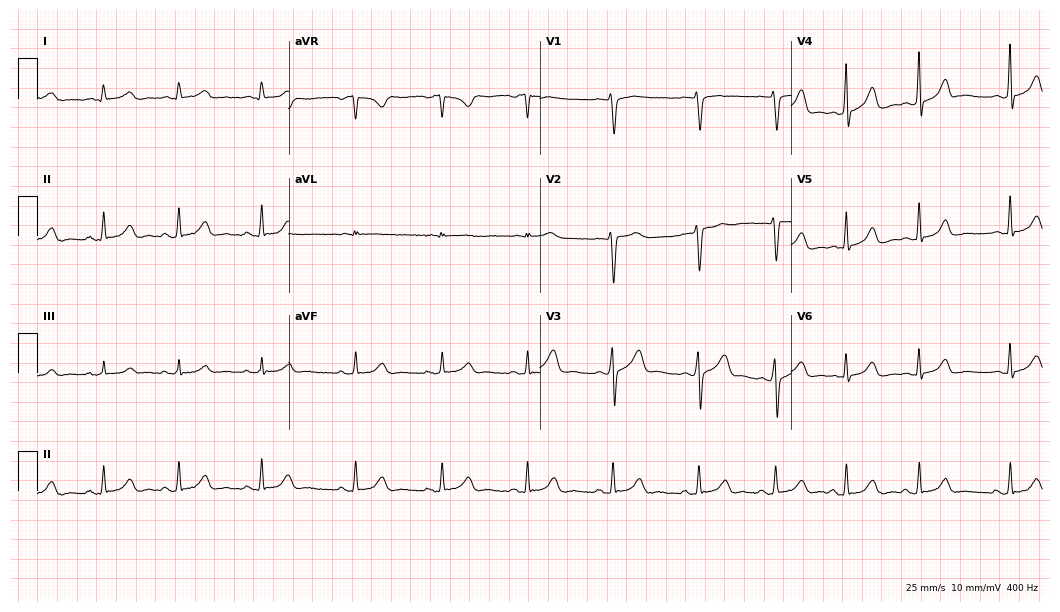
ECG — a 30-year-old female patient. Labelled as a normal ECG.